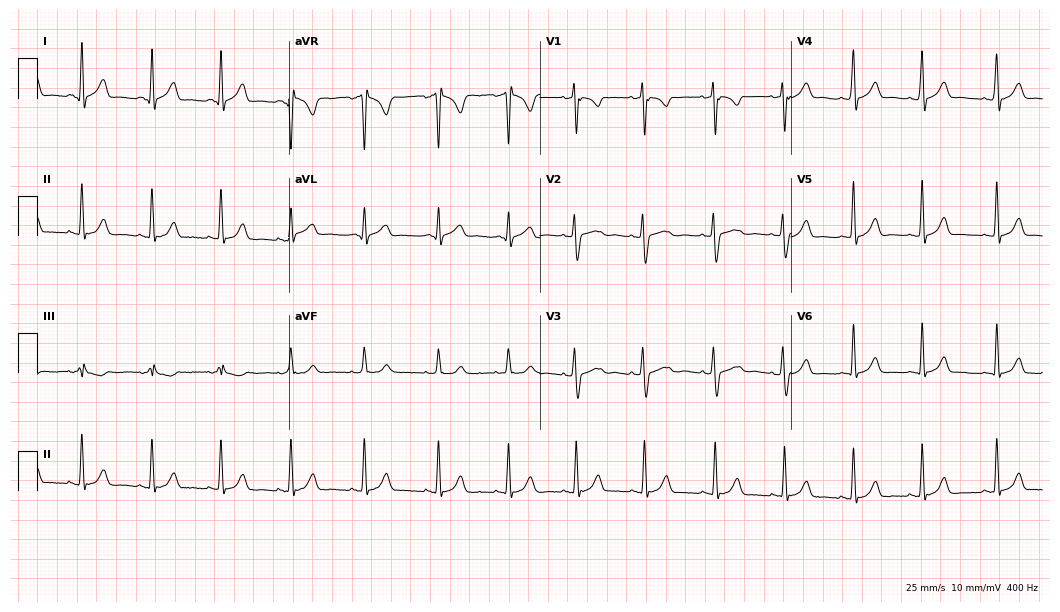
ECG (10.2-second recording at 400 Hz) — a 17-year-old woman. Screened for six findings — first-degree AV block, right bundle branch block (RBBB), left bundle branch block (LBBB), sinus bradycardia, atrial fibrillation (AF), sinus tachycardia — none is recorded. Other findings, if any, are not listed.